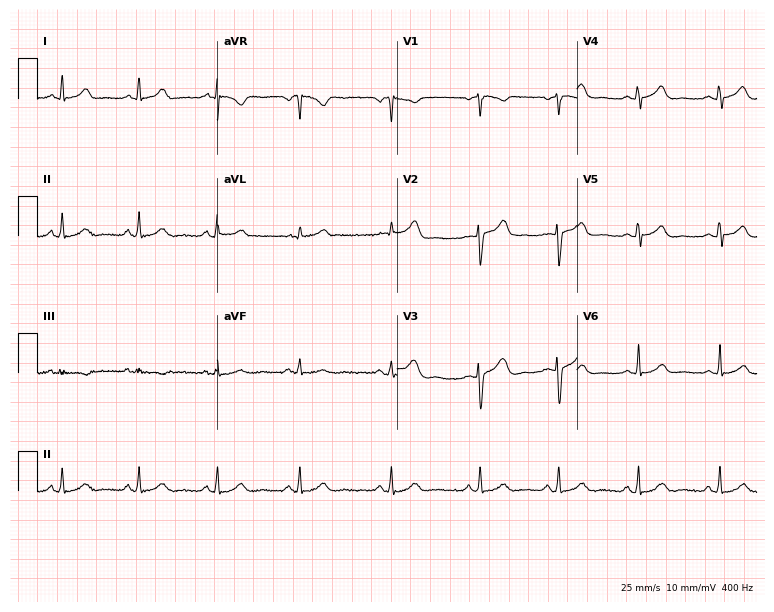
12-lead ECG from a female patient, 27 years old (7.3-second recording at 400 Hz). Recorded interpretation: within normal limits.